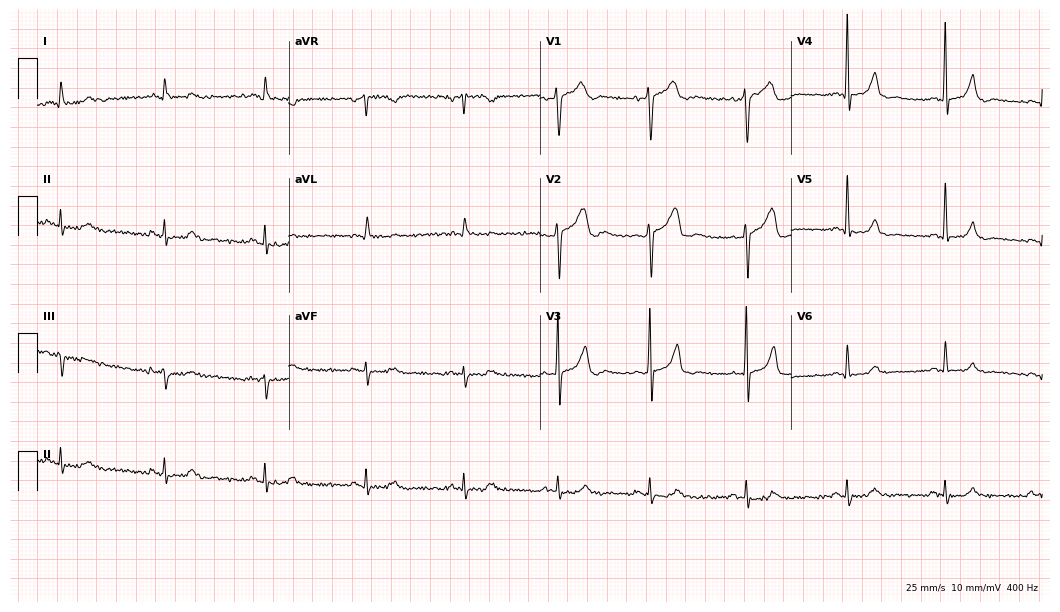
Electrocardiogram, a 59-year-old male. Overall reading on record: normal ECG.